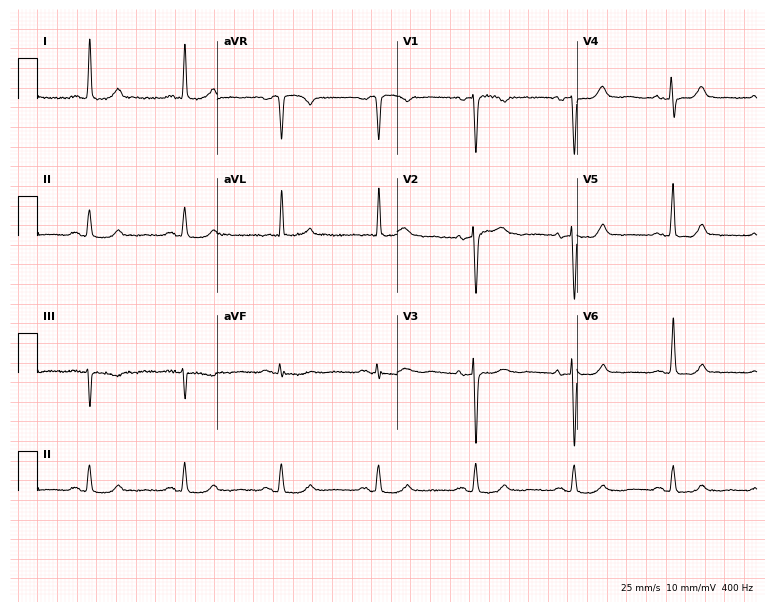
12-lead ECG from a woman, 71 years old. Labelled as a normal ECG.